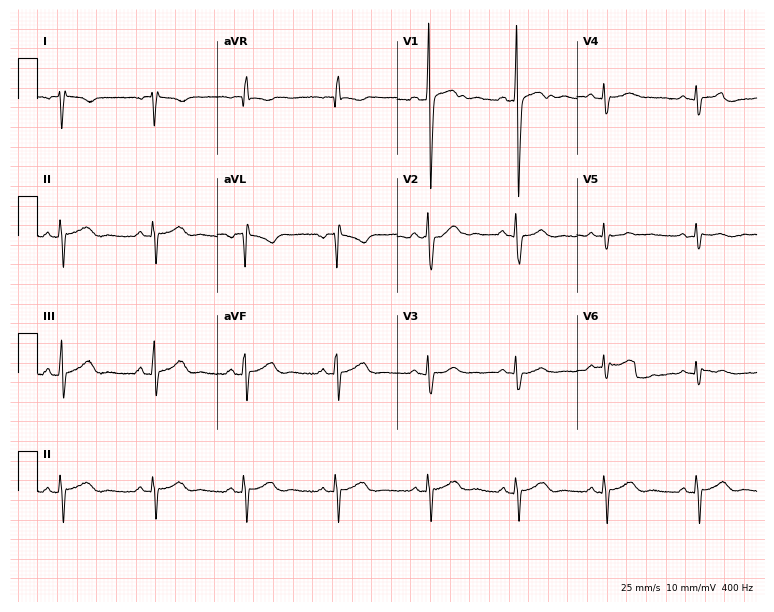
12-lead ECG from a man, 35 years old (7.3-second recording at 400 Hz). Recorded interpretation: within normal limits.